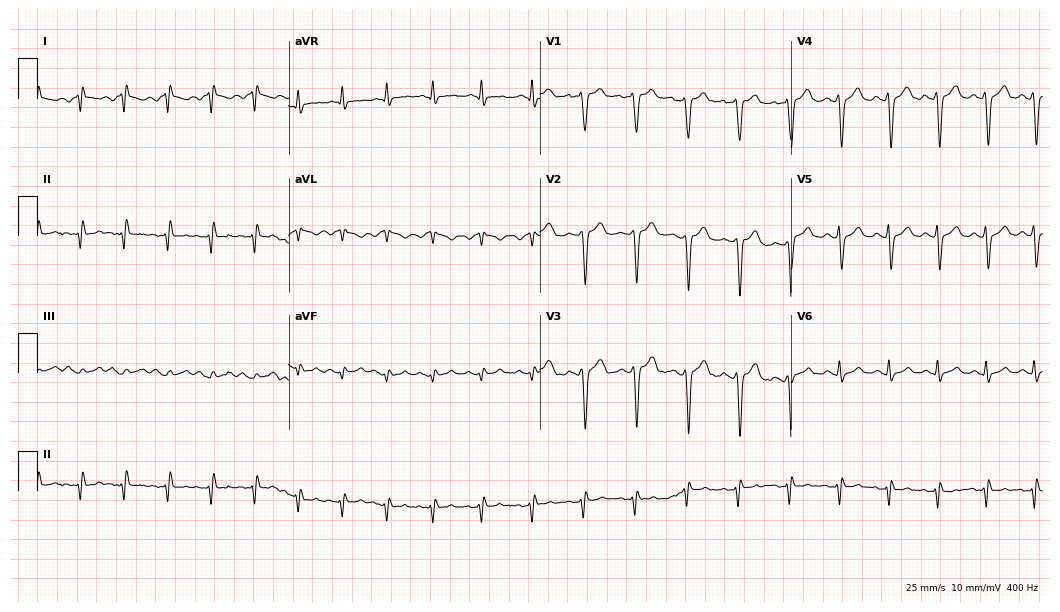
Resting 12-lead electrocardiogram (10.2-second recording at 400 Hz). Patient: a 41-year-old male. None of these six findings is recorded: first-degree AV block, right bundle branch block (RBBB), left bundle branch block (LBBB), sinus bradycardia, atrial fibrillation (AF), sinus tachycardia.